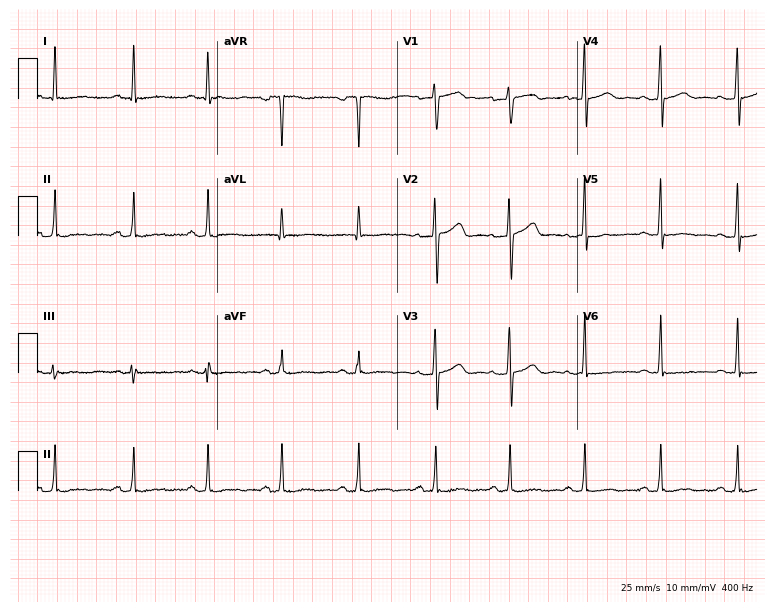
Standard 12-lead ECG recorded from a 48-year-old woman. None of these six findings is recorded: first-degree AV block, right bundle branch block, left bundle branch block, sinus bradycardia, atrial fibrillation, sinus tachycardia.